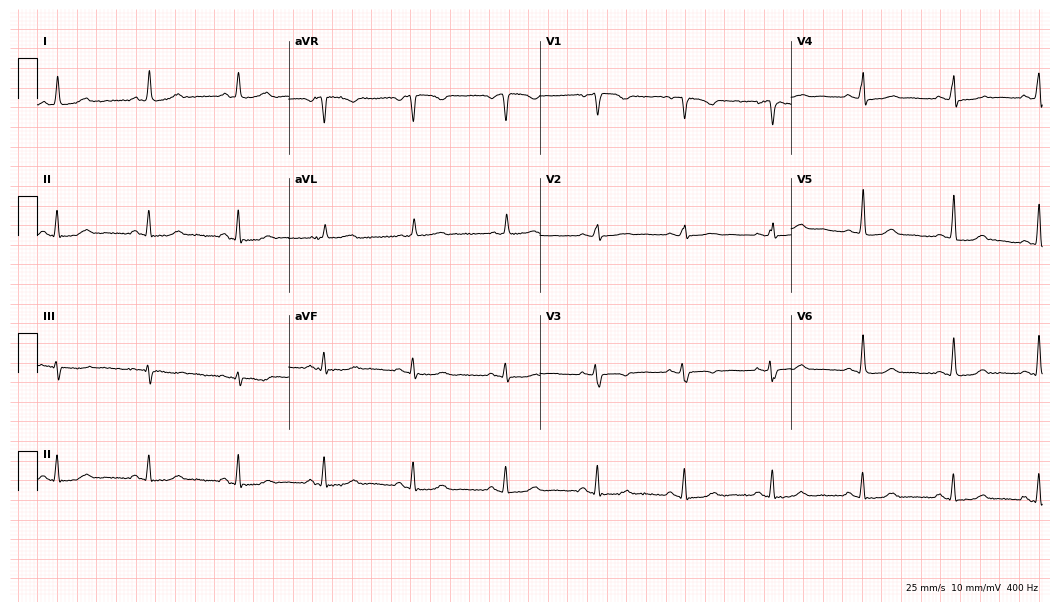
Resting 12-lead electrocardiogram. Patient: a woman, 55 years old. Read as a normal ECG.